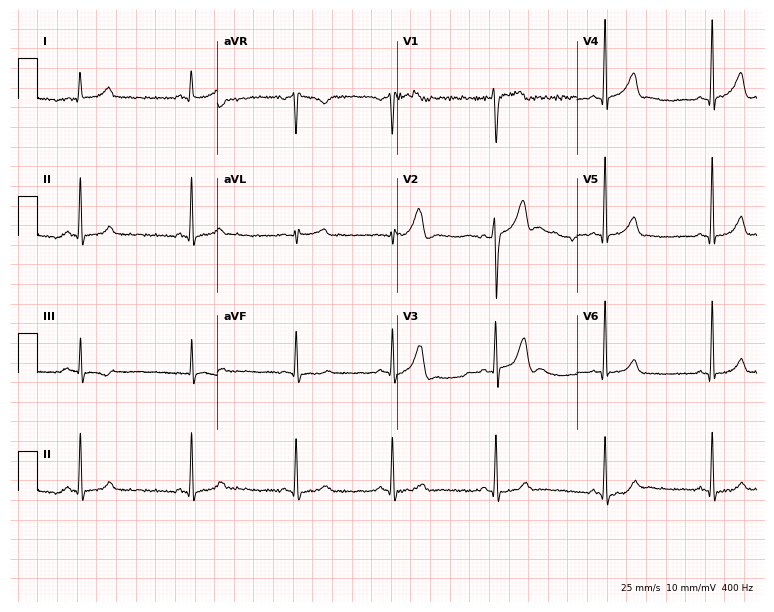
12-lead ECG from a 30-year-old male (7.3-second recording at 400 Hz). No first-degree AV block, right bundle branch block (RBBB), left bundle branch block (LBBB), sinus bradycardia, atrial fibrillation (AF) or sinus tachycardia recorded for this tracing. Other findings, if any, are not listed.